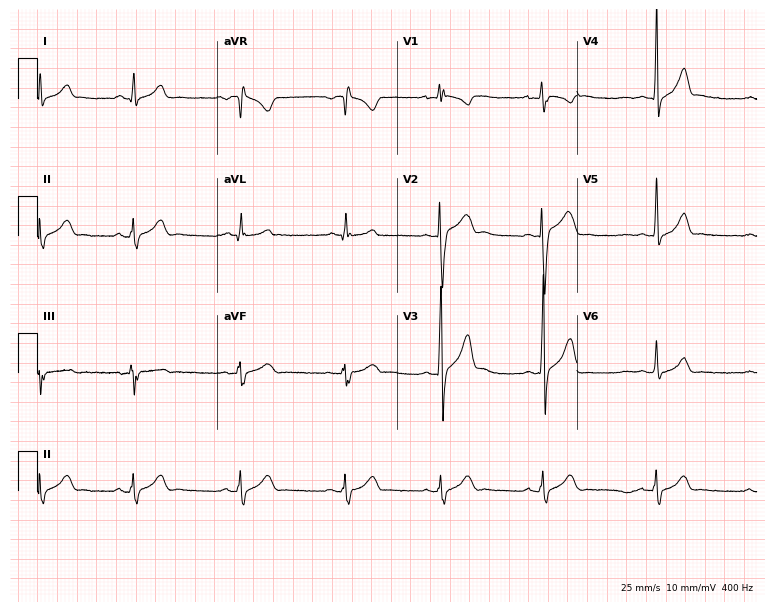
Electrocardiogram, a 17-year-old male. Overall reading on record: normal ECG.